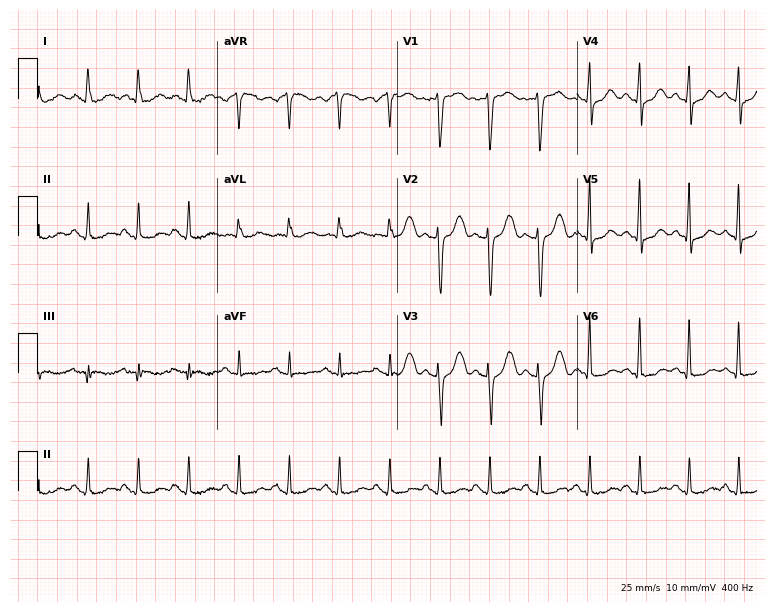
Resting 12-lead electrocardiogram. Patient: a female, 56 years old. The tracing shows sinus tachycardia (a sinus rate of 100 beats per minute or more).